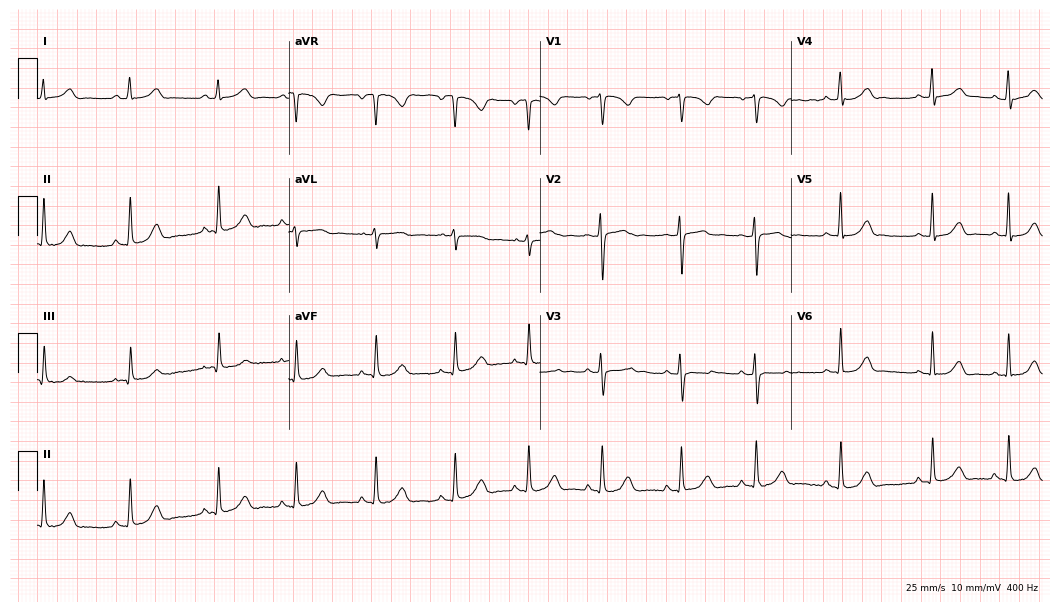
Electrocardiogram, a 23-year-old female. Overall reading on record: normal ECG.